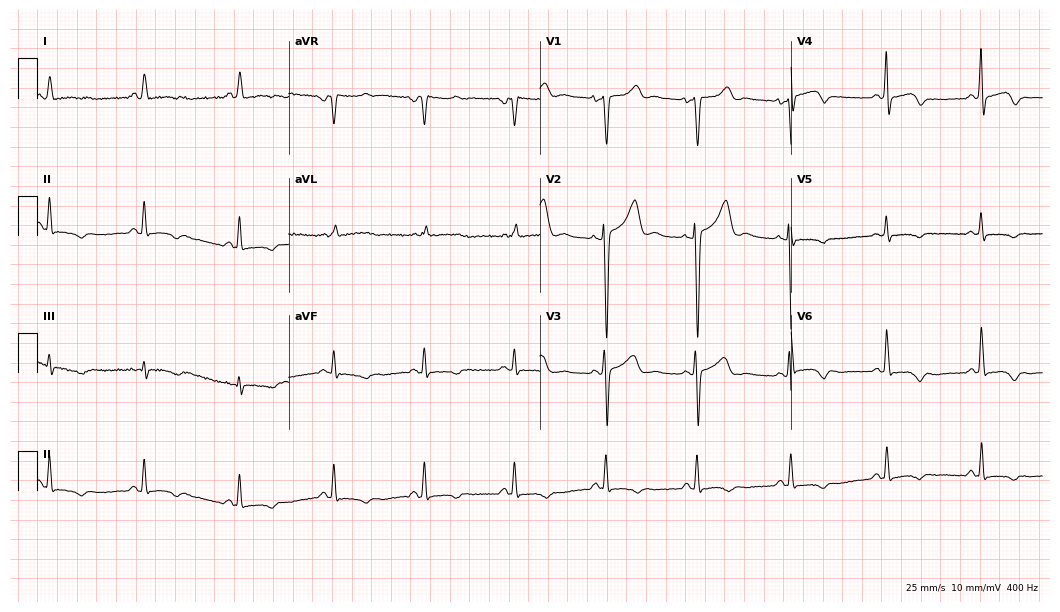
Electrocardiogram (10.2-second recording at 400 Hz), a 42-year-old woman. Of the six screened findings (first-degree AV block, right bundle branch block, left bundle branch block, sinus bradycardia, atrial fibrillation, sinus tachycardia), none is recorded. Only these six findings were labelled.